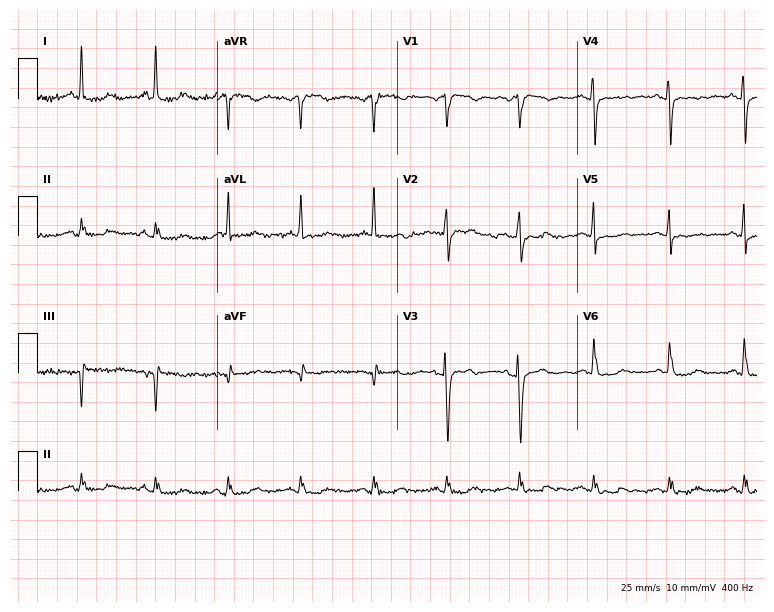
Electrocardiogram, a female patient, 72 years old. Of the six screened findings (first-degree AV block, right bundle branch block, left bundle branch block, sinus bradycardia, atrial fibrillation, sinus tachycardia), none is recorded.